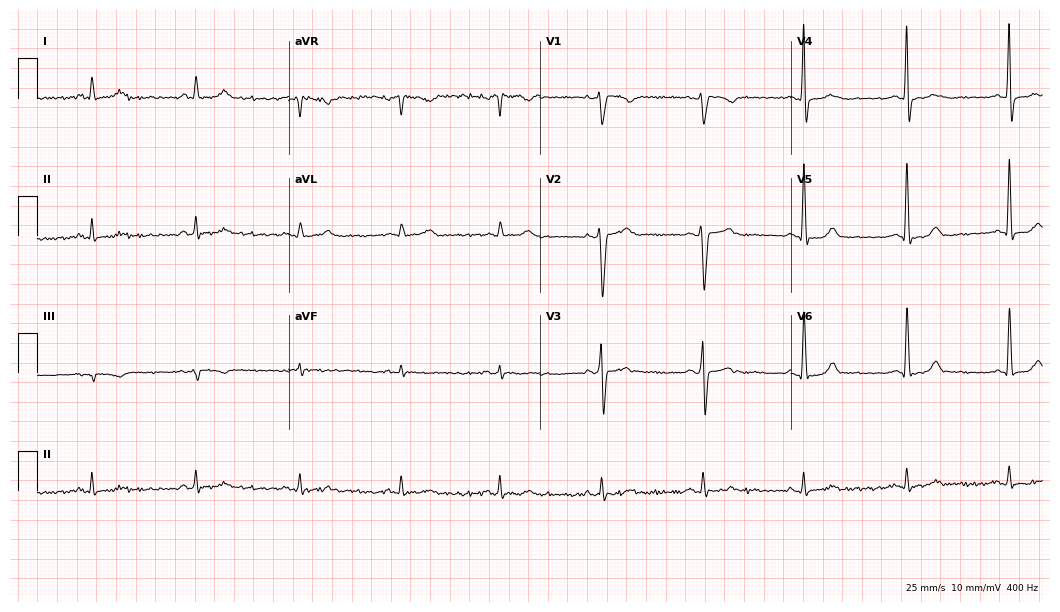
12-lead ECG from a male, 47 years old (10.2-second recording at 400 Hz). No first-degree AV block, right bundle branch block (RBBB), left bundle branch block (LBBB), sinus bradycardia, atrial fibrillation (AF) or sinus tachycardia recorded for this tracing.